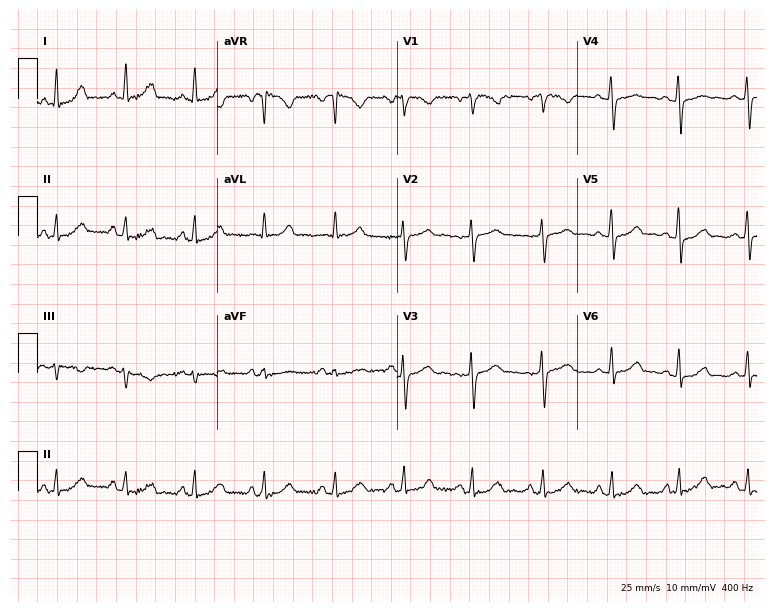
12-lead ECG from a female, 32 years old (7.3-second recording at 400 Hz). Recorded interpretation: within normal limits.